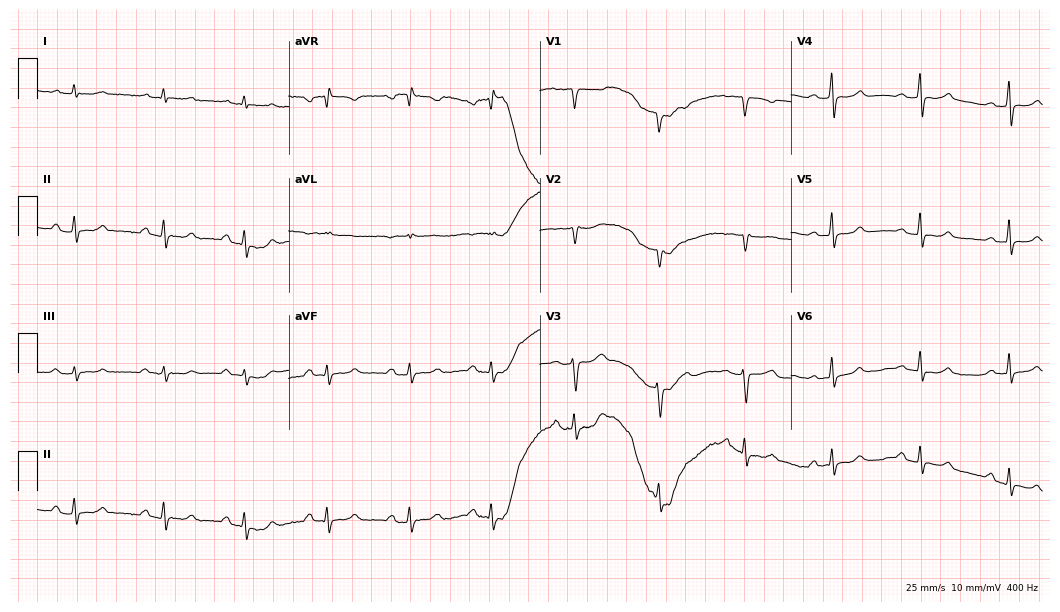
Resting 12-lead electrocardiogram (10.2-second recording at 400 Hz). Patient: a female, 47 years old. The tracing shows first-degree AV block.